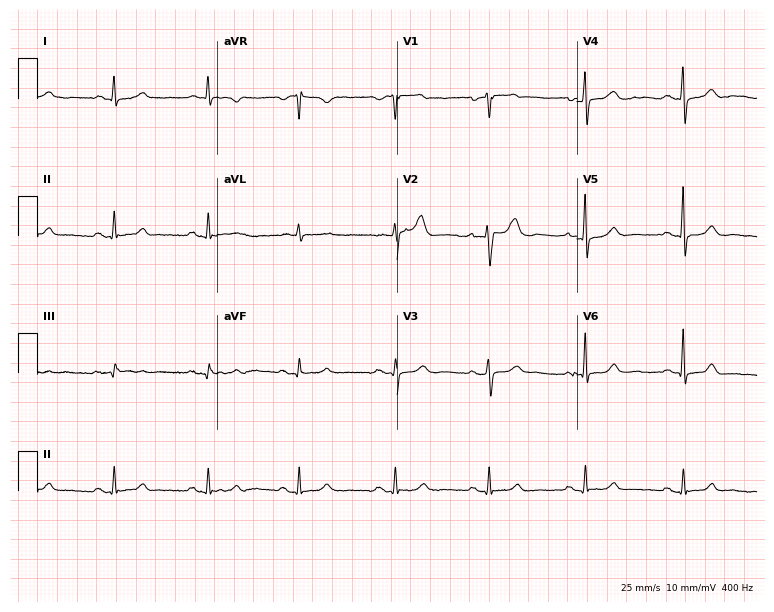
12-lead ECG from a female patient, 60 years old (7.3-second recording at 400 Hz). No first-degree AV block, right bundle branch block (RBBB), left bundle branch block (LBBB), sinus bradycardia, atrial fibrillation (AF) or sinus tachycardia recorded for this tracing.